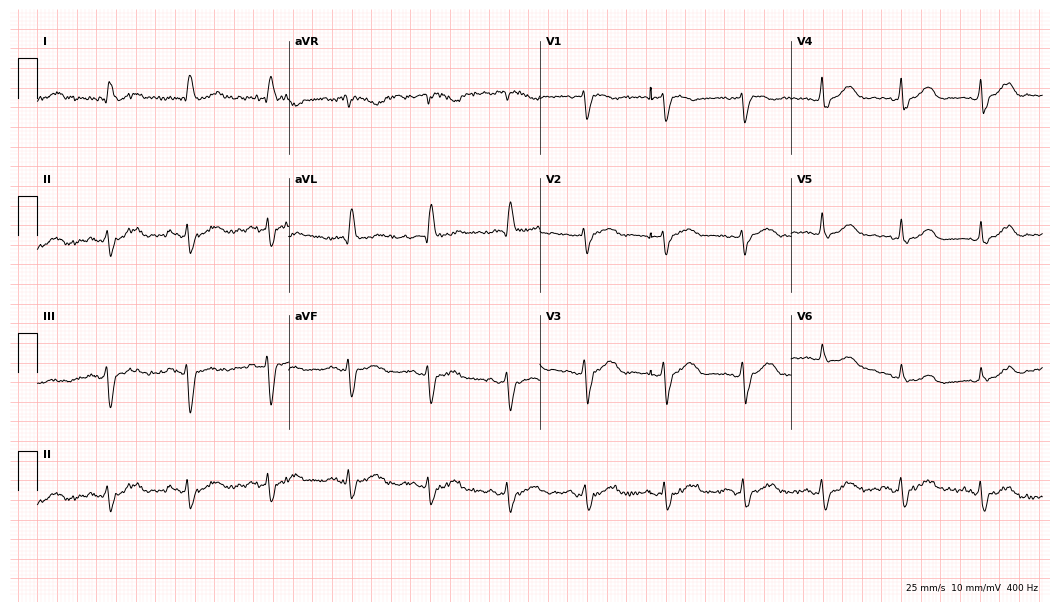
Resting 12-lead electrocardiogram (10.2-second recording at 400 Hz). Patient: a 69-year-old female. None of these six findings is recorded: first-degree AV block, right bundle branch block, left bundle branch block, sinus bradycardia, atrial fibrillation, sinus tachycardia. Other findings, if any, are not listed.